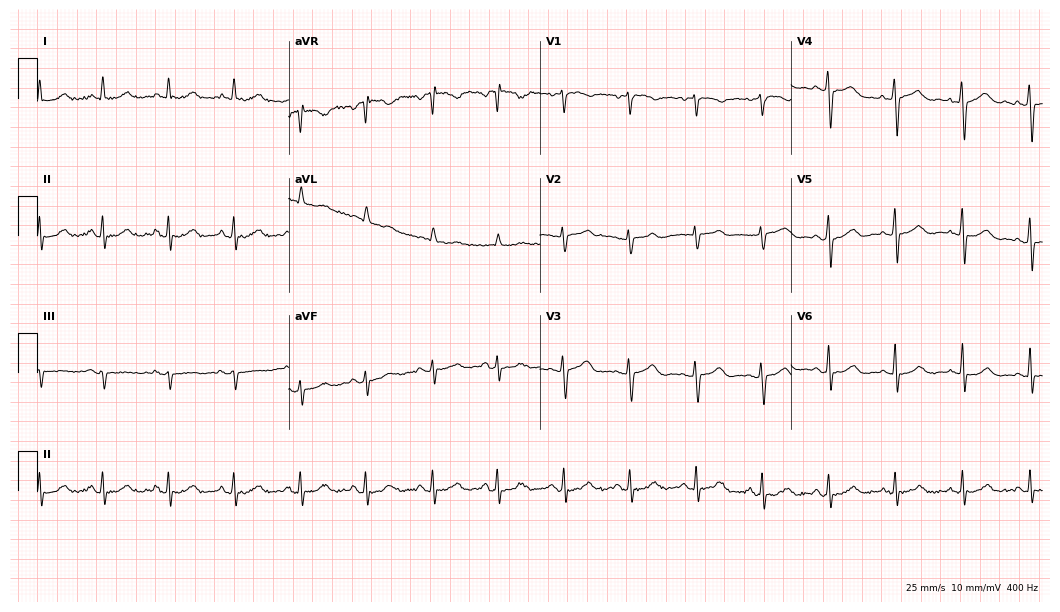
Resting 12-lead electrocardiogram (10.2-second recording at 400 Hz). Patient: a female, 61 years old. Read as a normal ECG.